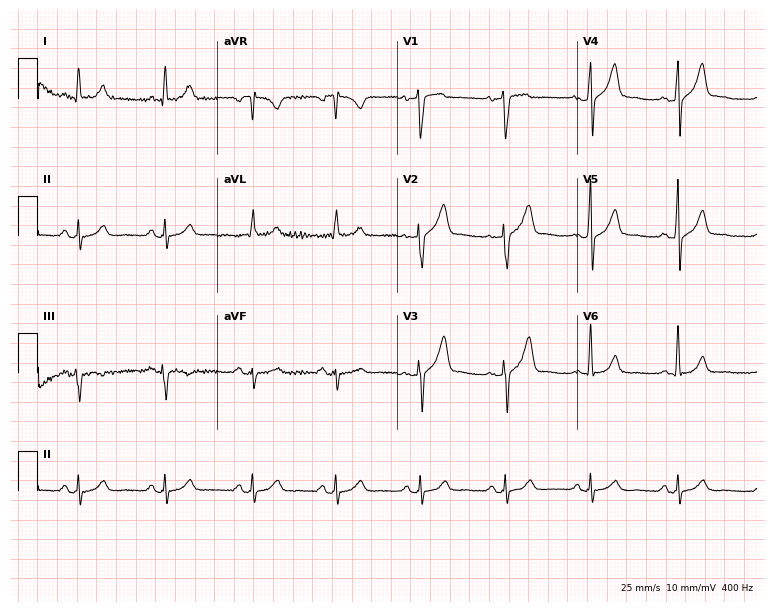
Standard 12-lead ECG recorded from a 57-year-old male patient (7.3-second recording at 400 Hz). Read as a normal ECG.